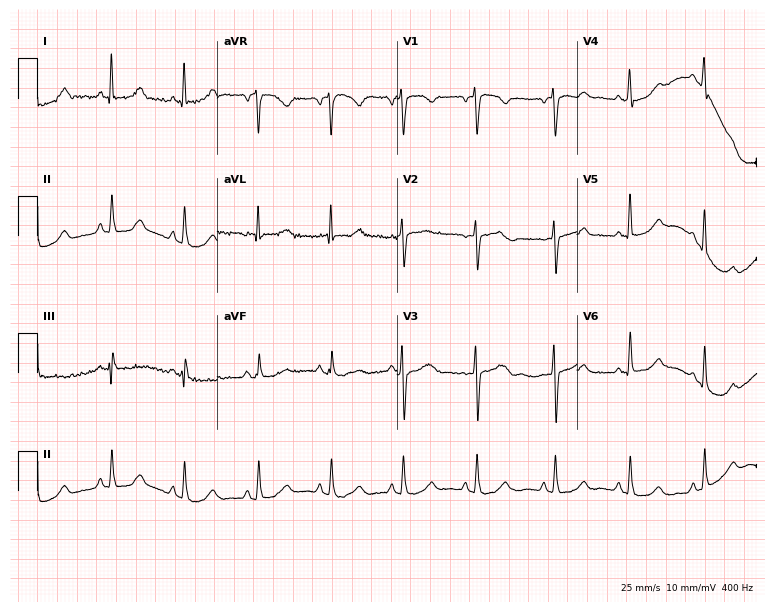
Electrocardiogram (7.3-second recording at 400 Hz), a 54-year-old woman. Overall reading on record: normal ECG.